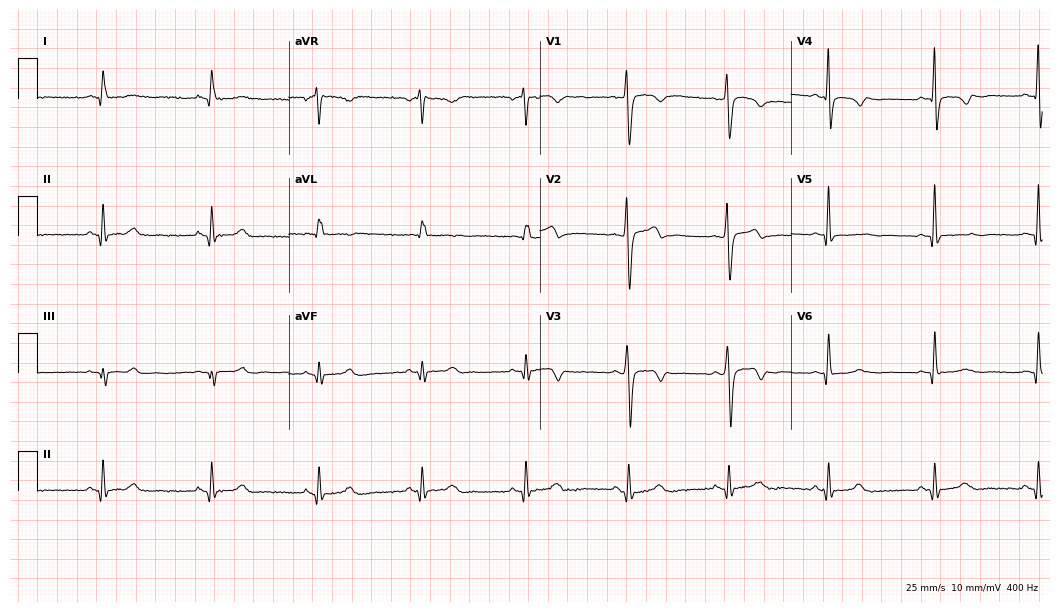
12-lead ECG (10.2-second recording at 400 Hz) from a 32-year-old man. Screened for six findings — first-degree AV block, right bundle branch block, left bundle branch block, sinus bradycardia, atrial fibrillation, sinus tachycardia — none is recorded. Only these six findings were labelled.